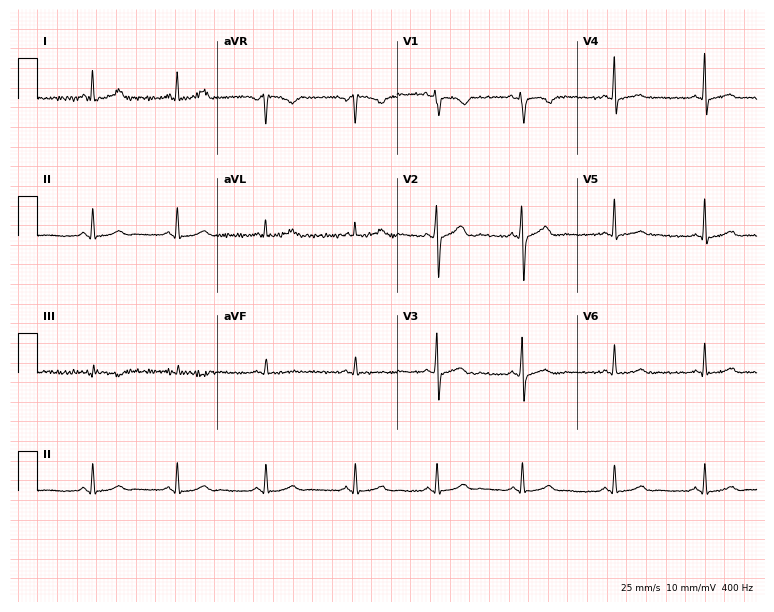
Resting 12-lead electrocardiogram (7.3-second recording at 400 Hz). Patient: a 35-year-old female. Read as a normal ECG.